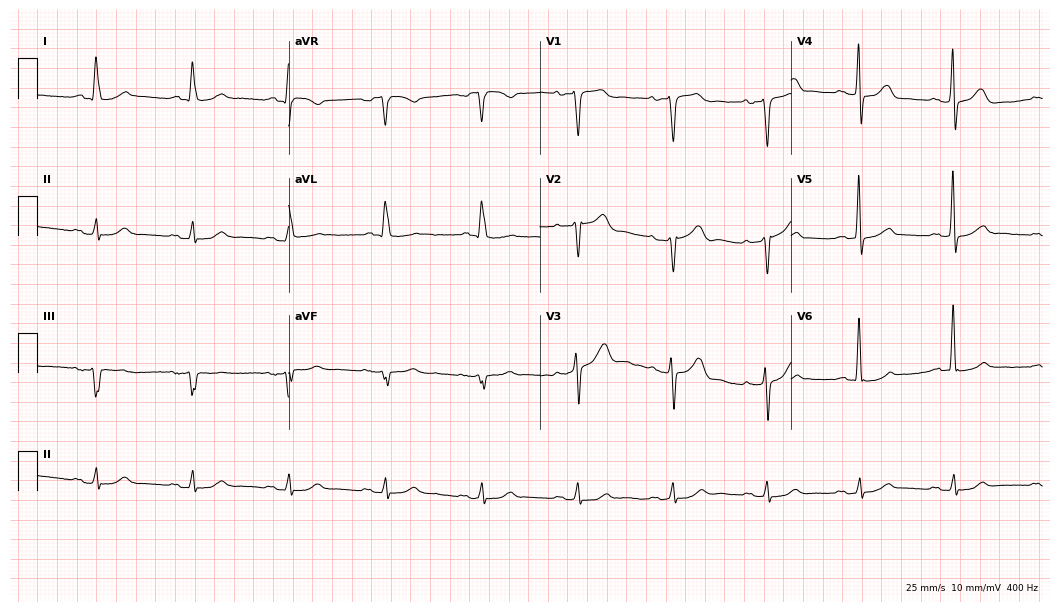
ECG (10.2-second recording at 400 Hz) — a male patient, 70 years old. Labelled as a normal ECG.